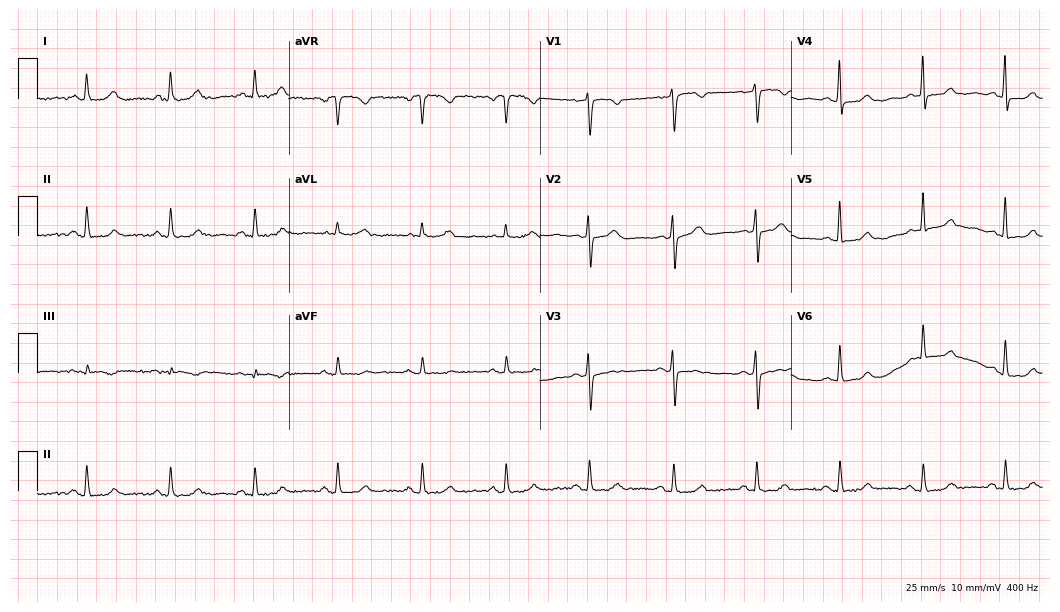
Standard 12-lead ECG recorded from a 69-year-old woman. Read as a normal ECG.